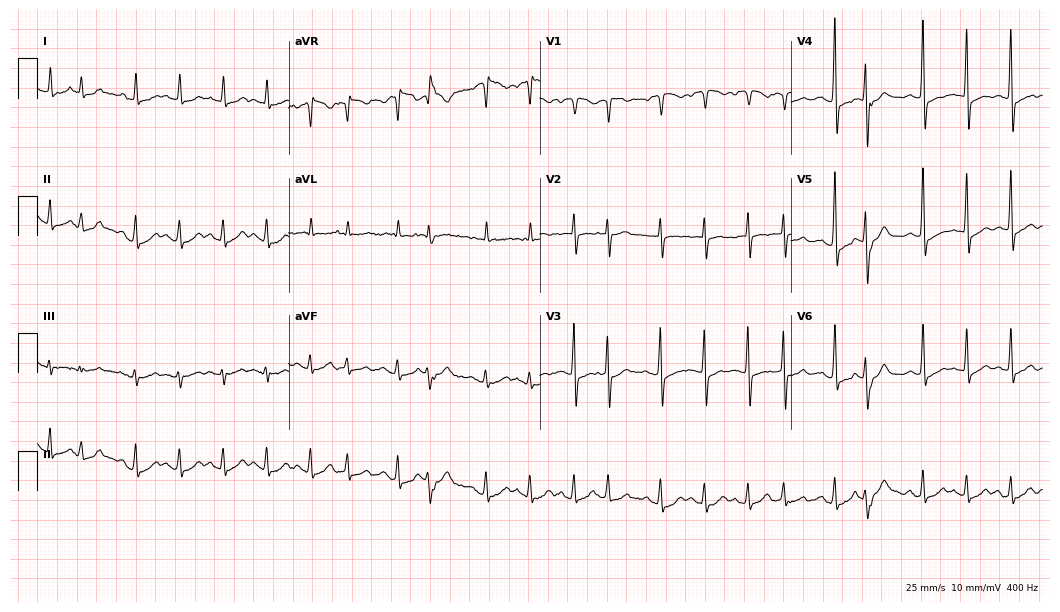
Electrocardiogram (10.2-second recording at 400 Hz), a female patient, 85 years old. Interpretation includes sinus tachycardia (a sinus rate of 100 beats per minute or more).